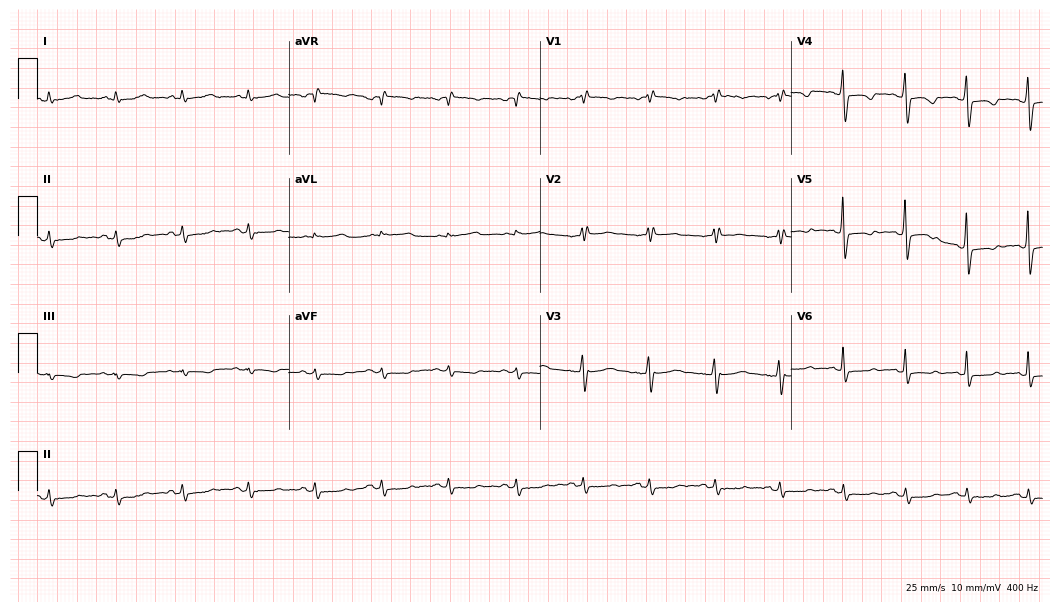
Electrocardiogram, a woman, 39 years old. Of the six screened findings (first-degree AV block, right bundle branch block (RBBB), left bundle branch block (LBBB), sinus bradycardia, atrial fibrillation (AF), sinus tachycardia), none is recorded.